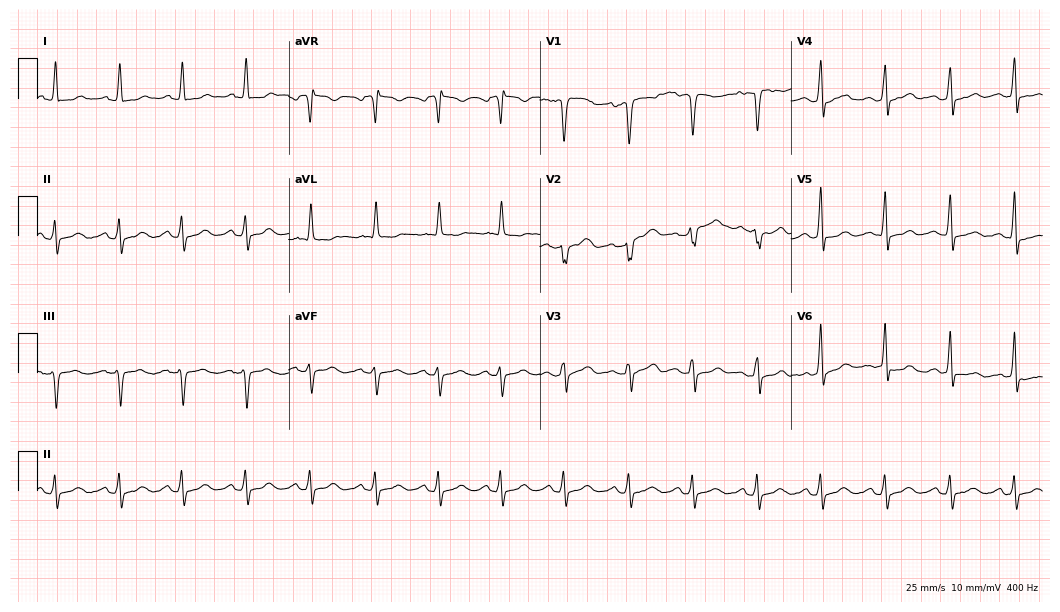
Resting 12-lead electrocardiogram (10.2-second recording at 400 Hz). Patient: a female, 59 years old. Read as a normal ECG.